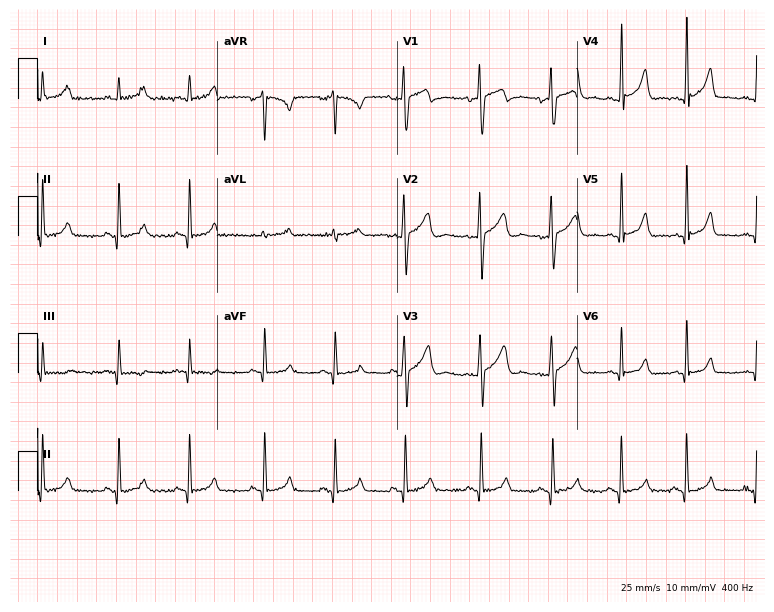
Standard 12-lead ECG recorded from a 26-year-old man. Read as a normal ECG.